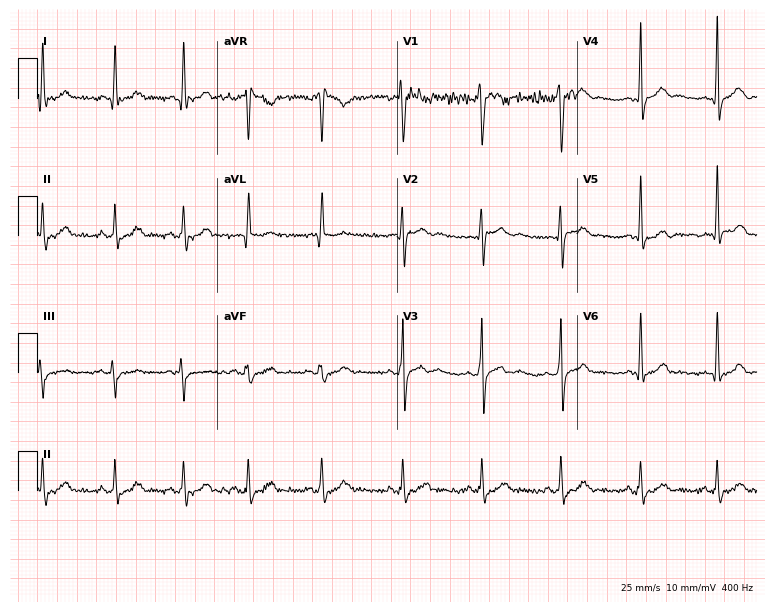
Standard 12-lead ECG recorded from a 26-year-old male patient. Read as a normal ECG.